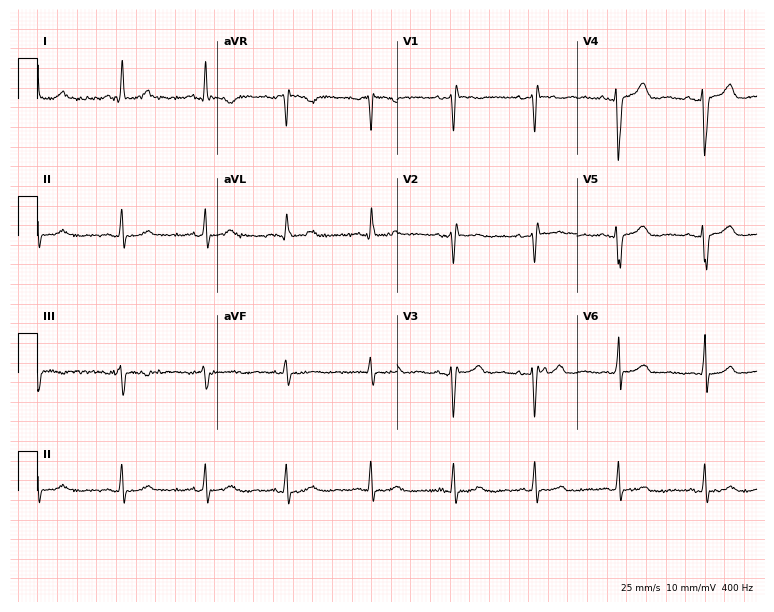
12-lead ECG from a 43-year-old female (7.3-second recording at 400 Hz). No first-degree AV block, right bundle branch block, left bundle branch block, sinus bradycardia, atrial fibrillation or sinus tachycardia recorded for this tracing. Findings outside these six are not listed.